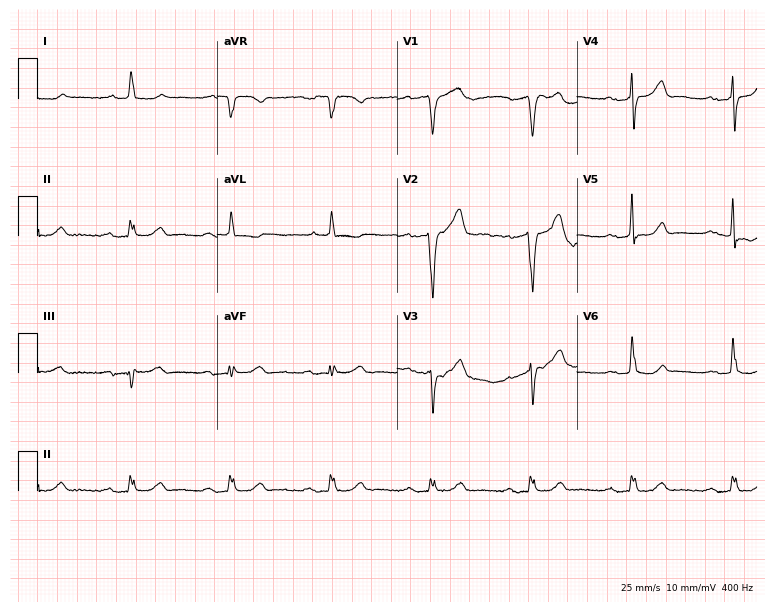
Standard 12-lead ECG recorded from a 68-year-old man. The tracing shows first-degree AV block.